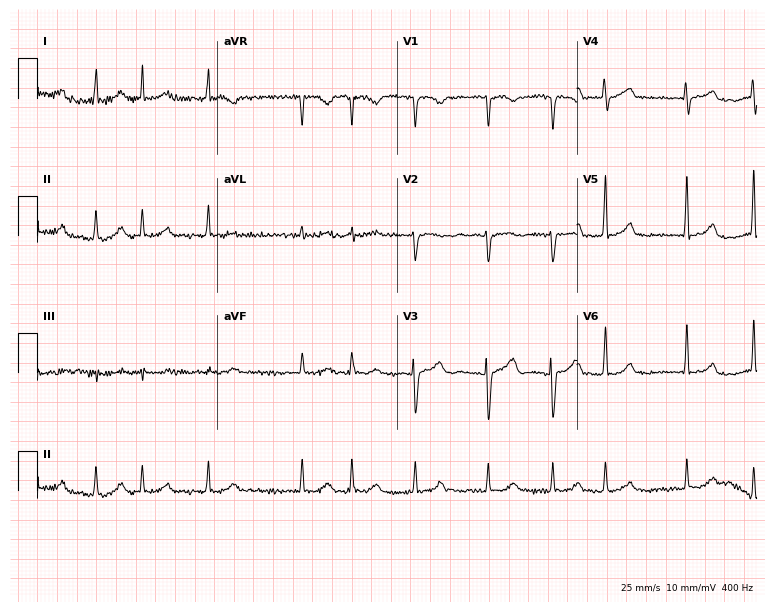
Standard 12-lead ECG recorded from a 74-year-old female patient. None of these six findings is recorded: first-degree AV block, right bundle branch block, left bundle branch block, sinus bradycardia, atrial fibrillation, sinus tachycardia. Findings outside these six are not listed.